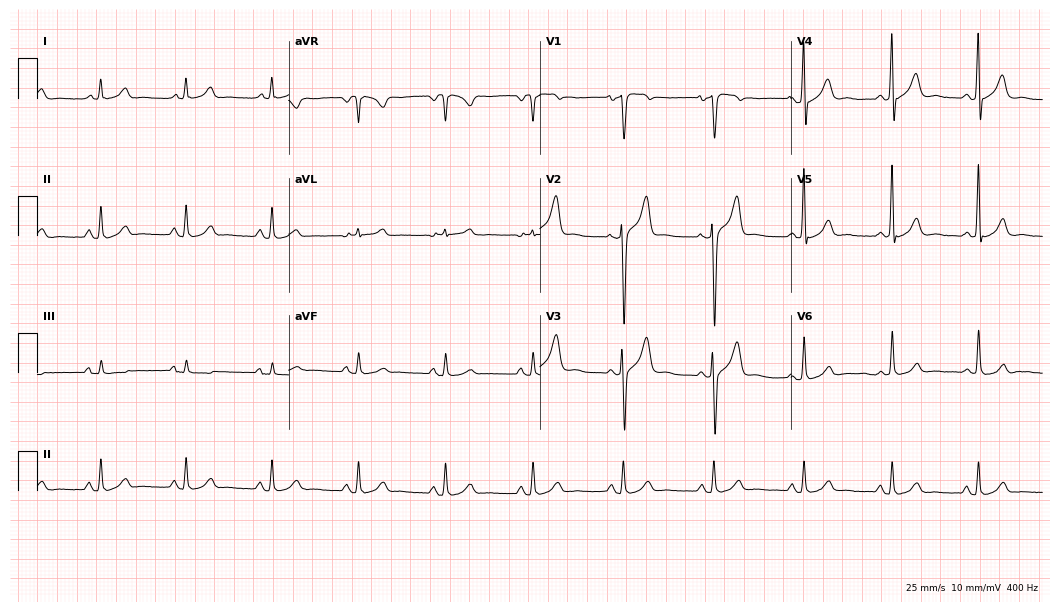
Resting 12-lead electrocardiogram. Patient: a male, 54 years old. Read as a normal ECG.